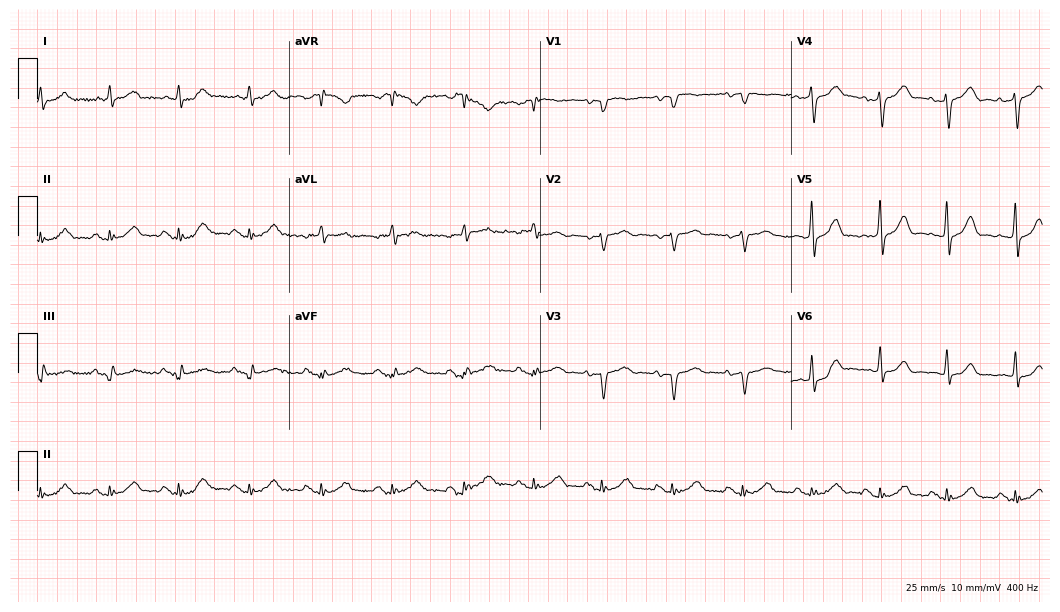
Electrocardiogram, a 69-year-old male patient. Of the six screened findings (first-degree AV block, right bundle branch block, left bundle branch block, sinus bradycardia, atrial fibrillation, sinus tachycardia), none is recorded. Only these six findings were labelled.